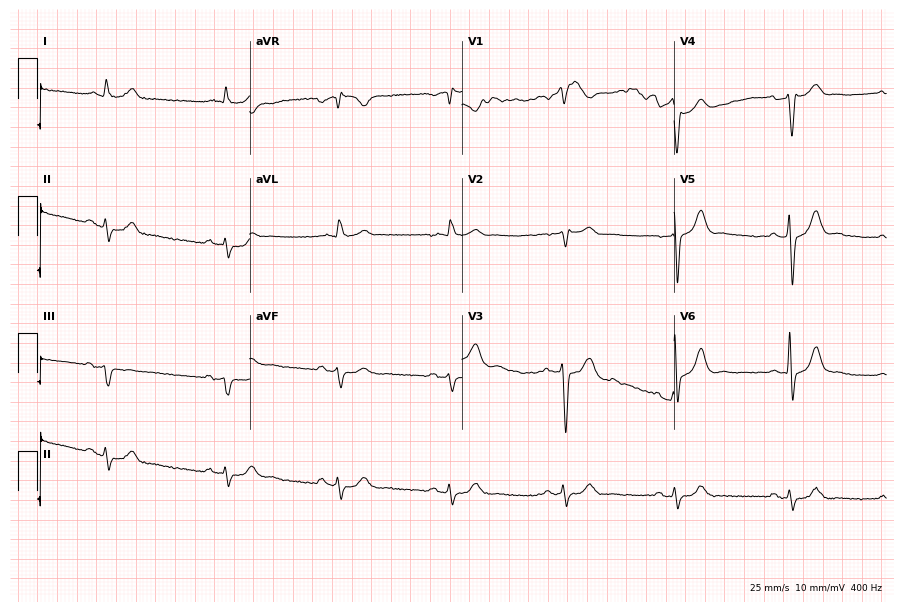
Electrocardiogram (8.7-second recording at 400 Hz), a 73-year-old man. Of the six screened findings (first-degree AV block, right bundle branch block (RBBB), left bundle branch block (LBBB), sinus bradycardia, atrial fibrillation (AF), sinus tachycardia), none is recorded.